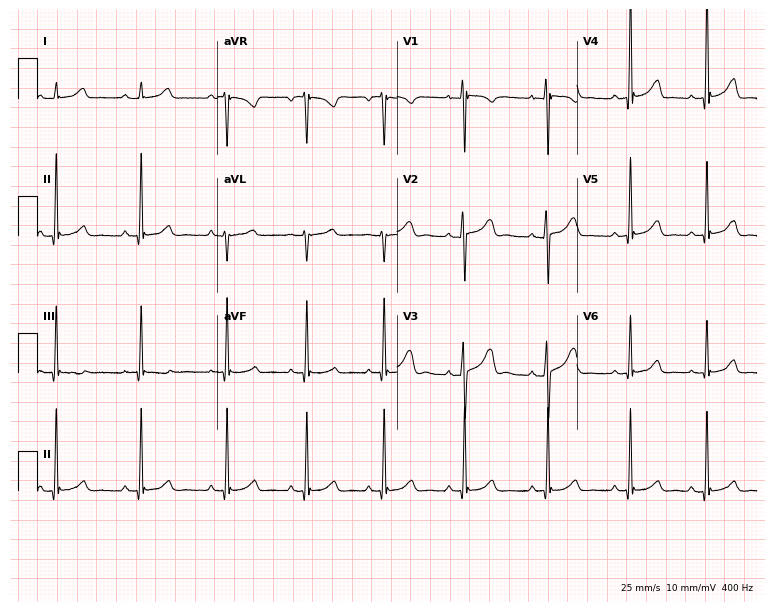
Standard 12-lead ECG recorded from a 19-year-old woman. Read as a normal ECG.